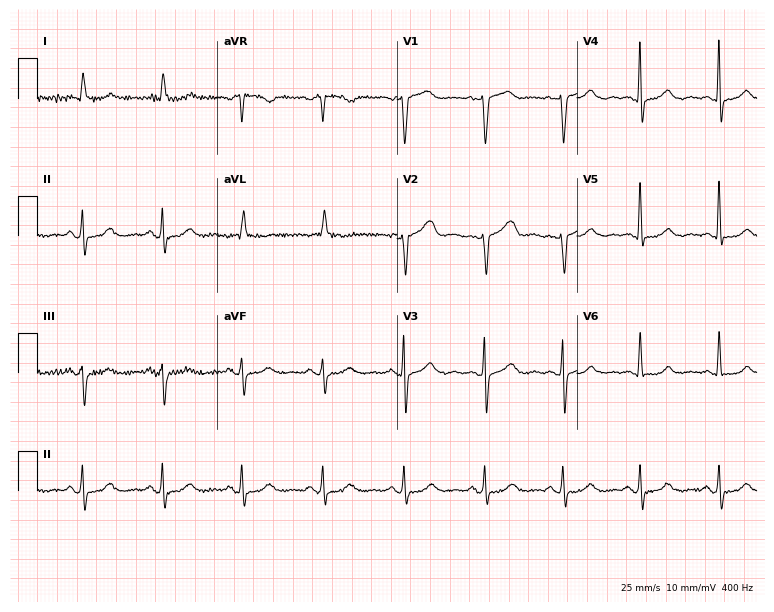
ECG (7.3-second recording at 400 Hz) — a female patient, 71 years old. Labelled as a normal ECG.